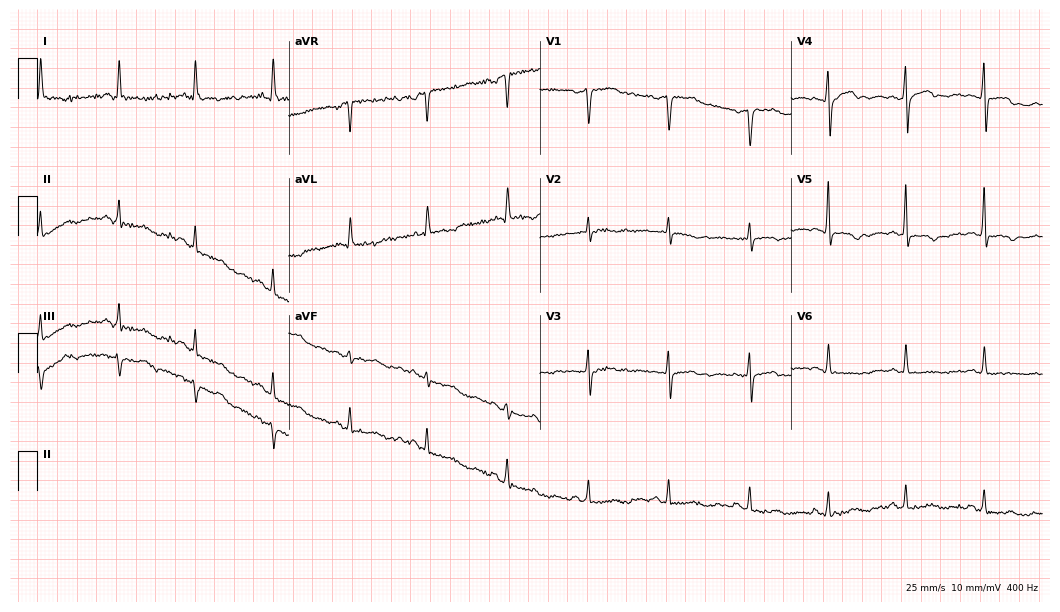
Electrocardiogram, a 56-year-old woman. Of the six screened findings (first-degree AV block, right bundle branch block (RBBB), left bundle branch block (LBBB), sinus bradycardia, atrial fibrillation (AF), sinus tachycardia), none is recorded.